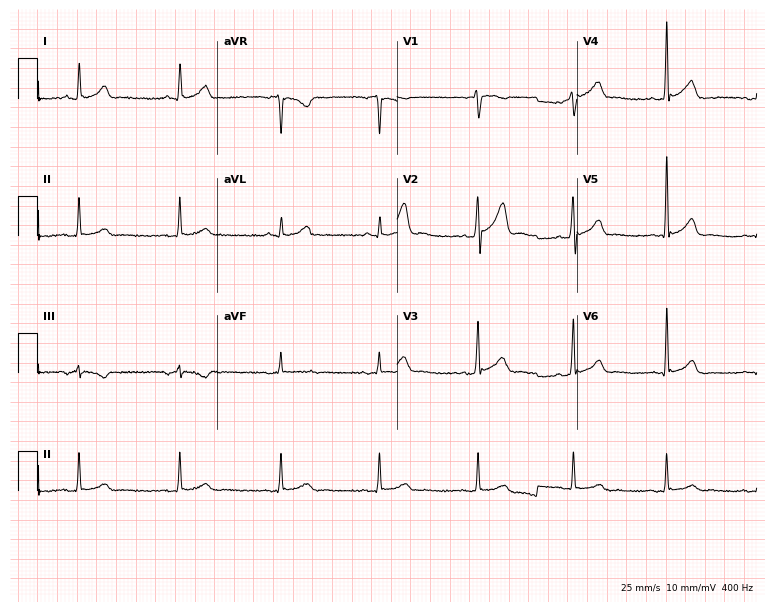
12-lead ECG from a male patient, 34 years old. No first-degree AV block, right bundle branch block, left bundle branch block, sinus bradycardia, atrial fibrillation or sinus tachycardia recorded for this tracing. Other findings, if any, are not listed.